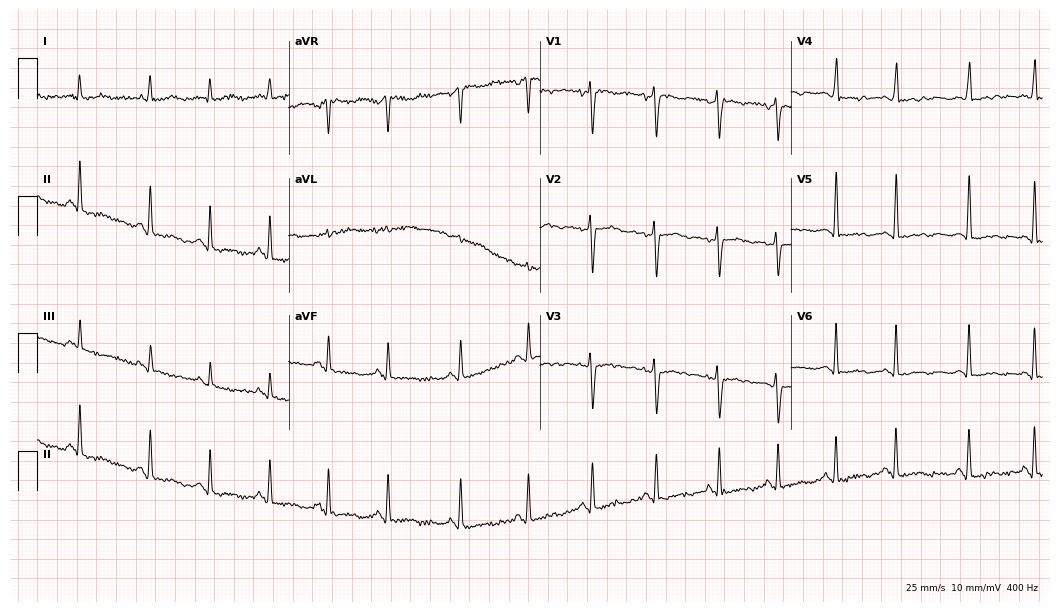
Resting 12-lead electrocardiogram (10.2-second recording at 400 Hz). Patient: a 31-year-old female. None of these six findings is recorded: first-degree AV block, right bundle branch block, left bundle branch block, sinus bradycardia, atrial fibrillation, sinus tachycardia.